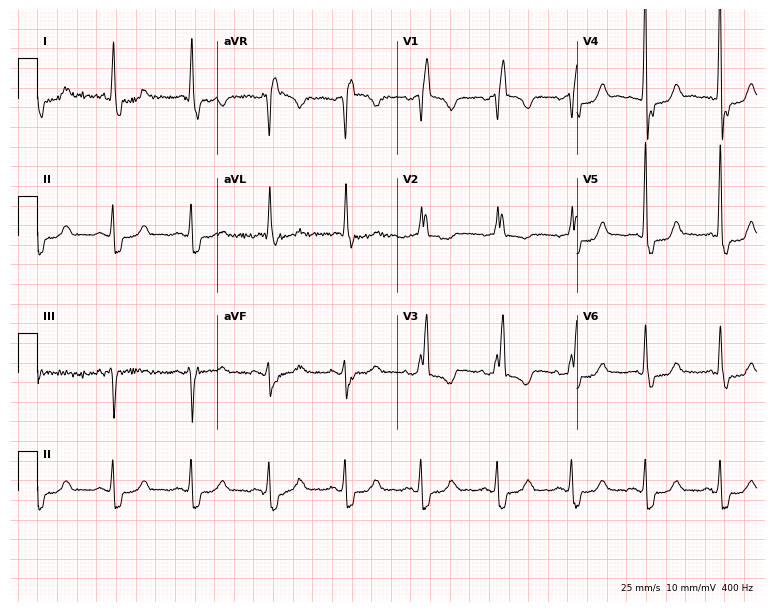
ECG (7.3-second recording at 400 Hz) — a female, 84 years old. Findings include right bundle branch block (RBBB).